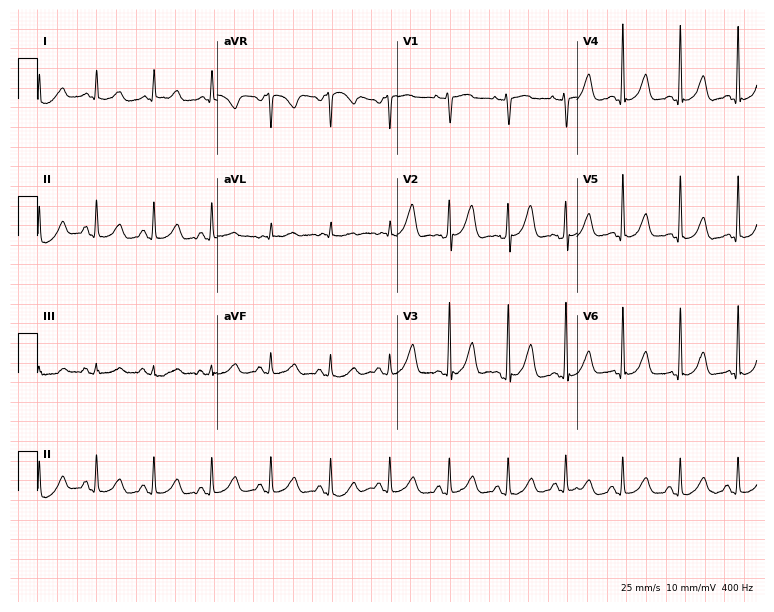
12-lead ECG (7.3-second recording at 400 Hz) from a 55-year-old female patient. Findings include sinus tachycardia (a sinus rate of 100 beats per minute or more).